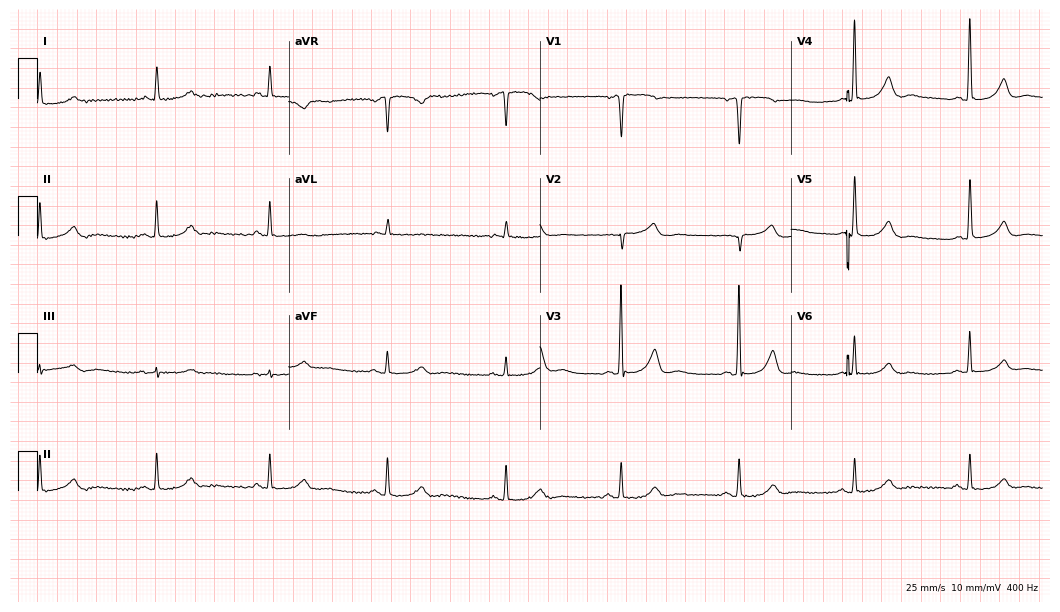
Resting 12-lead electrocardiogram. Patient: a 77-year-old female. The tracing shows sinus bradycardia (a sinus rate of 50 beats per minute or less).